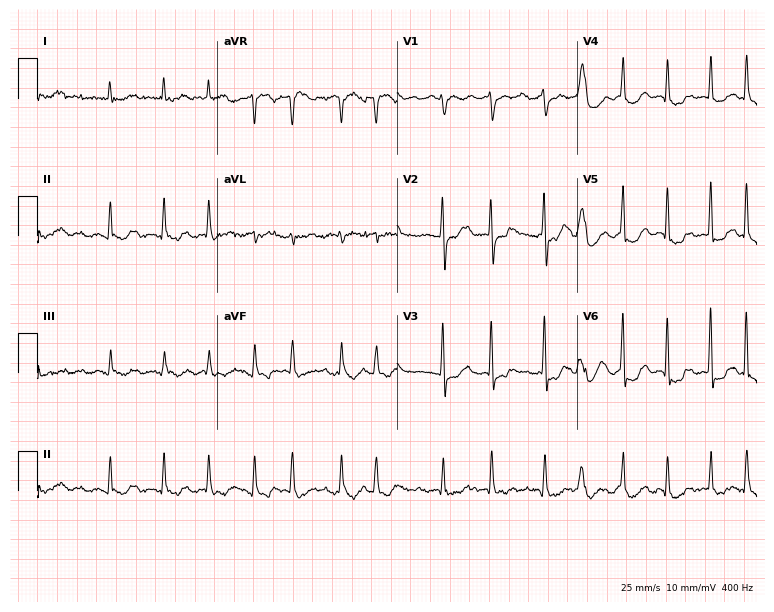
12-lead ECG from a man, 81 years old. Findings include atrial fibrillation.